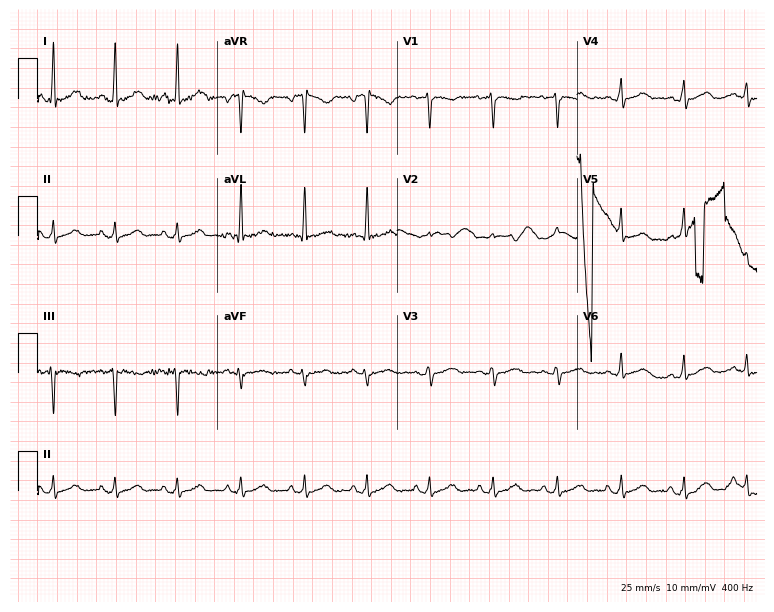
Resting 12-lead electrocardiogram. Patient: a 47-year-old female. None of these six findings is recorded: first-degree AV block, right bundle branch block (RBBB), left bundle branch block (LBBB), sinus bradycardia, atrial fibrillation (AF), sinus tachycardia.